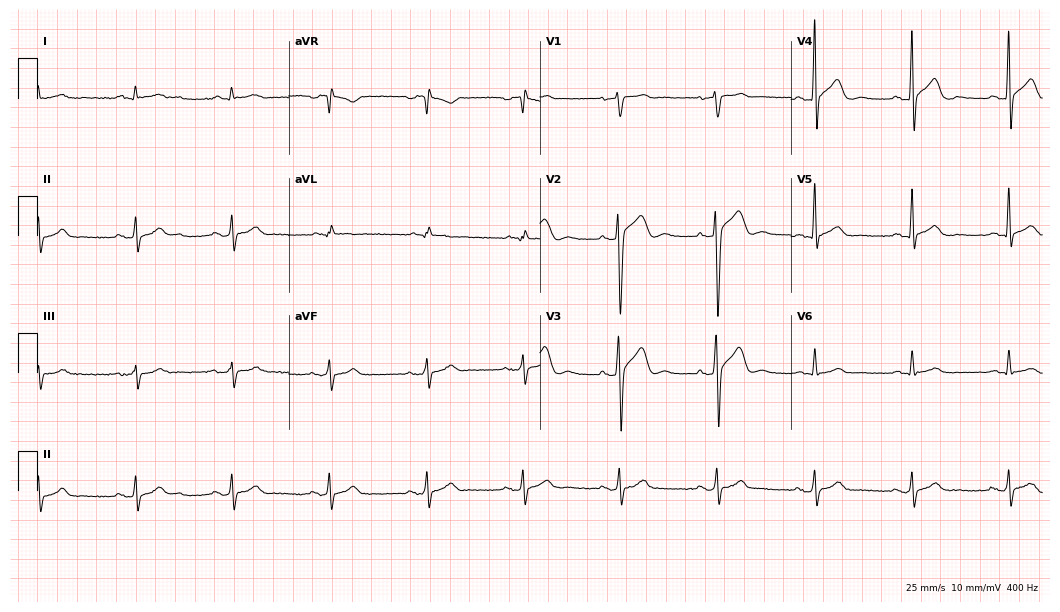
Electrocardiogram (10.2-second recording at 400 Hz), a 61-year-old male. Overall reading on record: normal ECG.